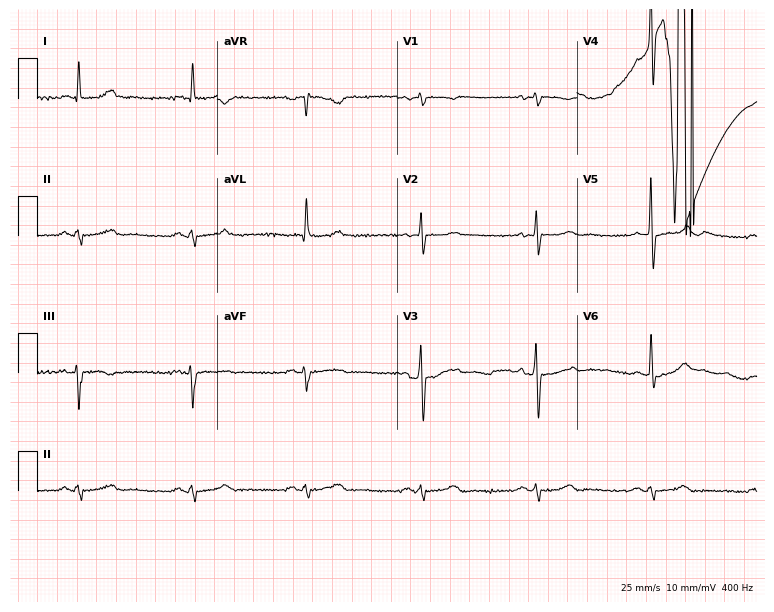
12-lead ECG (7.3-second recording at 400 Hz) from a male, 74 years old. Screened for six findings — first-degree AV block, right bundle branch block (RBBB), left bundle branch block (LBBB), sinus bradycardia, atrial fibrillation (AF), sinus tachycardia — none is recorded. Other findings, if any, are not listed.